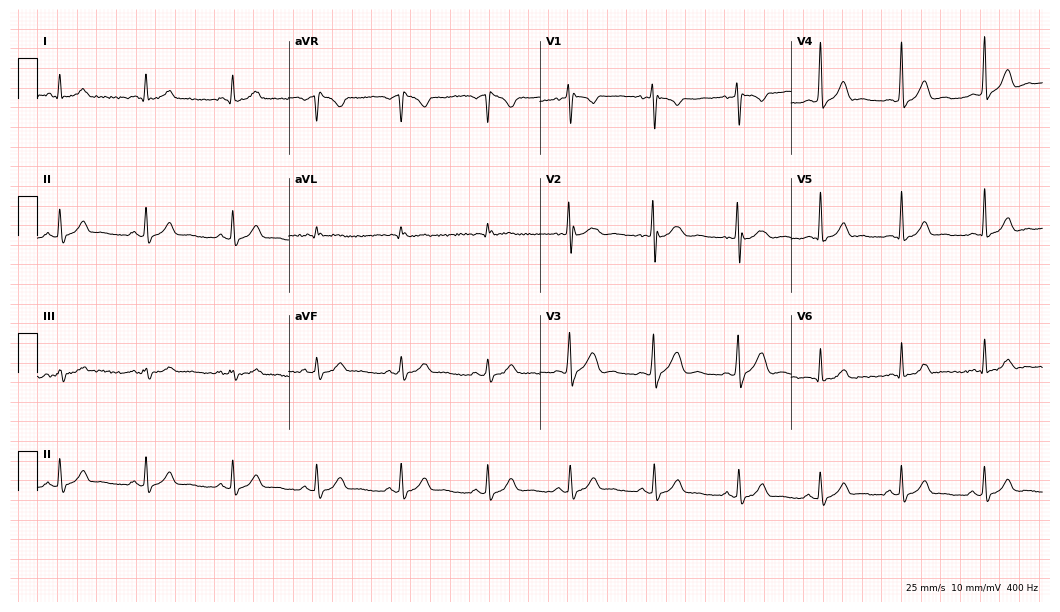
Electrocardiogram (10.2-second recording at 400 Hz), a man, 34 years old. Overall reading on record: normal ECG.